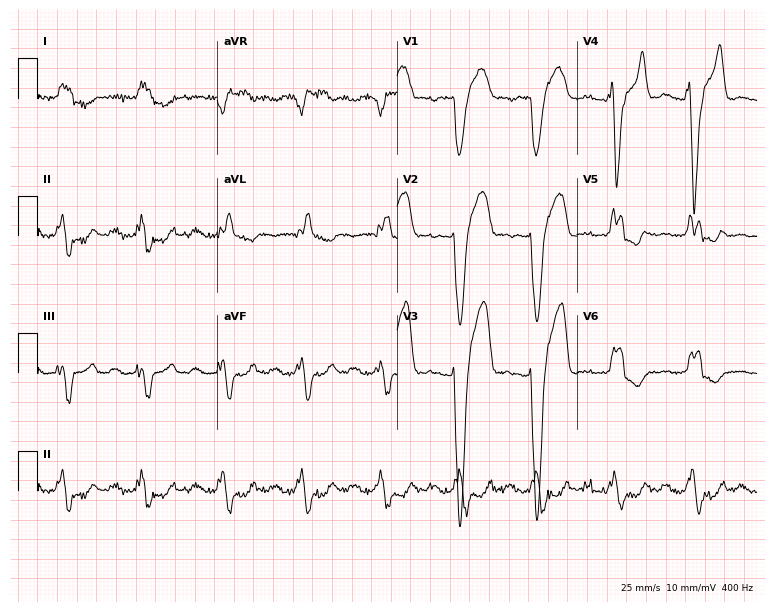
Electrocardiogram, a 79-year-old man. Of the six screened findings (first-degree AV block, right bundle branch block (RBBB), left bundle branch block (LBBB), sinus bradycardia, atrial fibrillation (AF), sinus tachycardia), none is recorded. Findings outside these six are not listed.